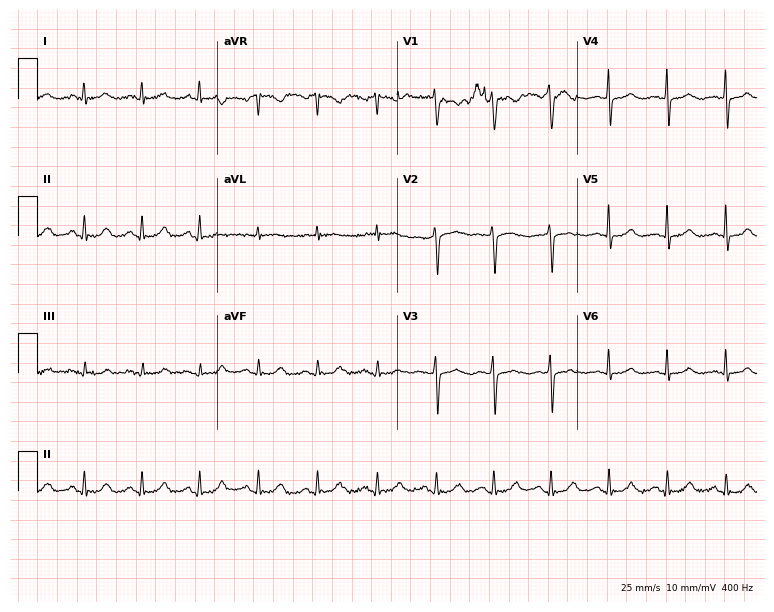
Electrocardiogram (7.3-second recording at 400 Hz), a 68-year-old female patient. Overall reading on record: normal ECG.